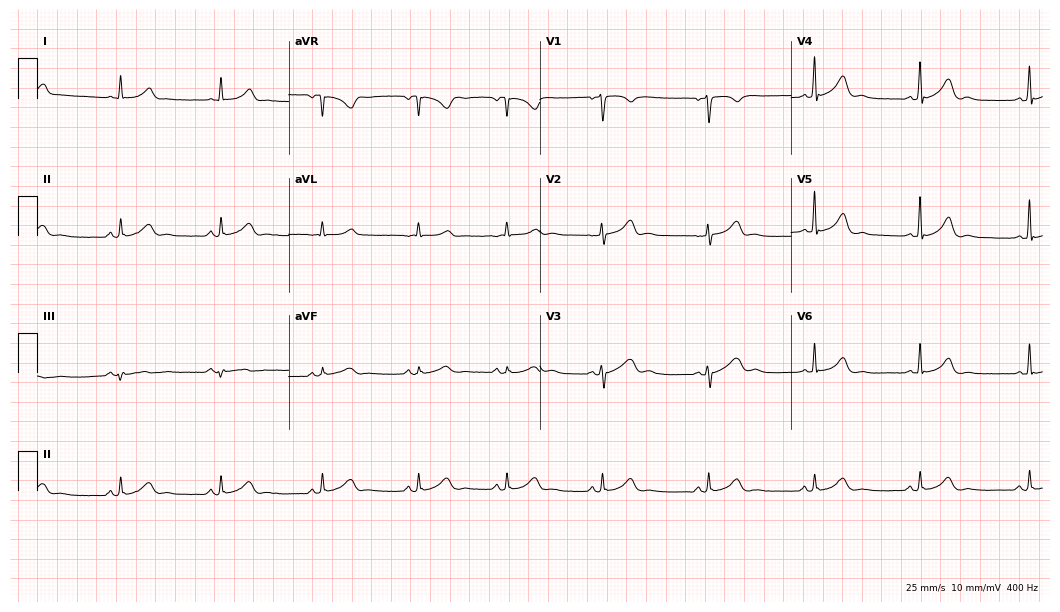
12-lead ECG from a 29-year-old female. Labelled as a normal ECG.